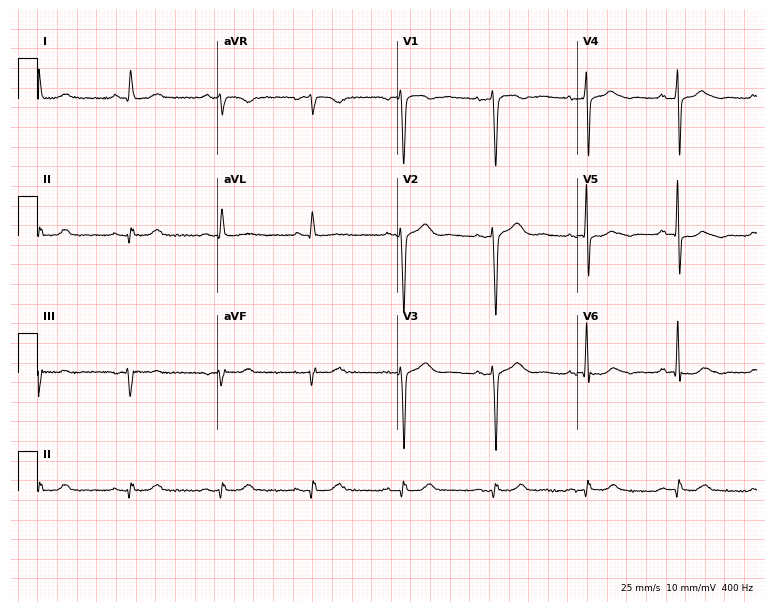
Electrocardiogram (7.3-second recording at 400 Hz), a 68-year-old male. Of the six screened findings (first-degree AV block, right bundle branch block (RBBB), left bundle branch block (LBBB), sinus bradycardia, atrial fibrillation (AF), sinus tachycardia), none is recorded. Only these six findings were labelled.